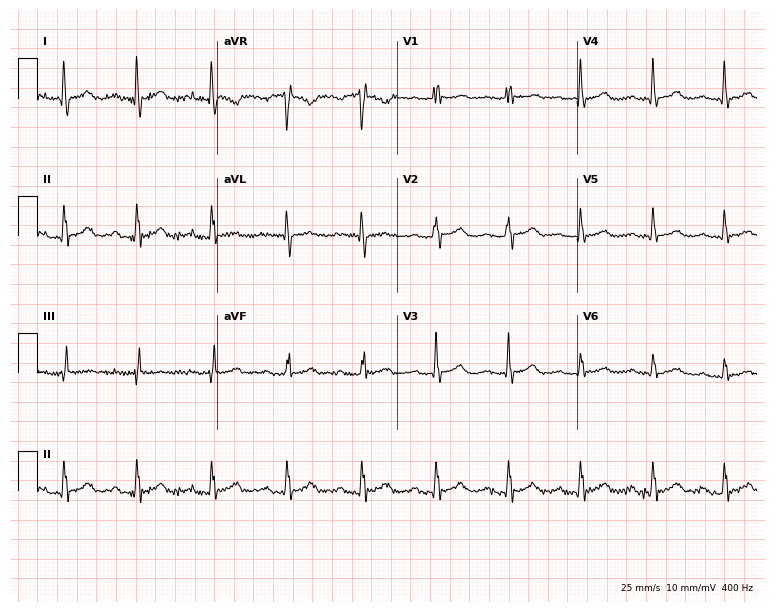
Resting 12-lead electrocardiogram. Patient: a 35-year-old woman. The tracing shows first-degree AV block.